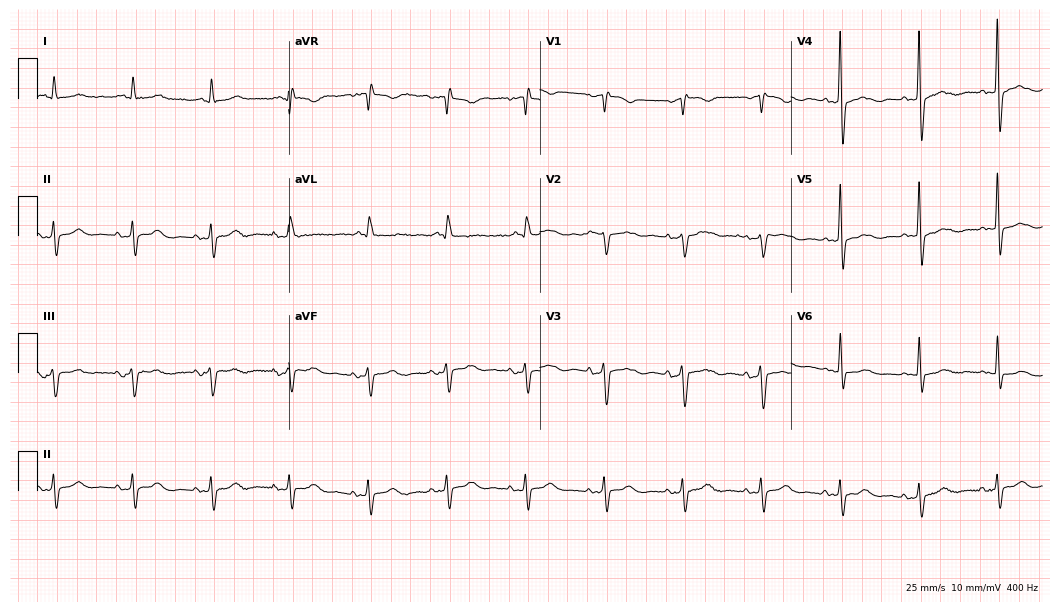
12-lead ECG from a female, 81 years old (10.2-second recording at 400 Hz). No first-degree AV block, right bundle branch block, left bundle branch block, sinus bradycardia, atrial fibrillation or sinus tachycardia recorded for this tracing.